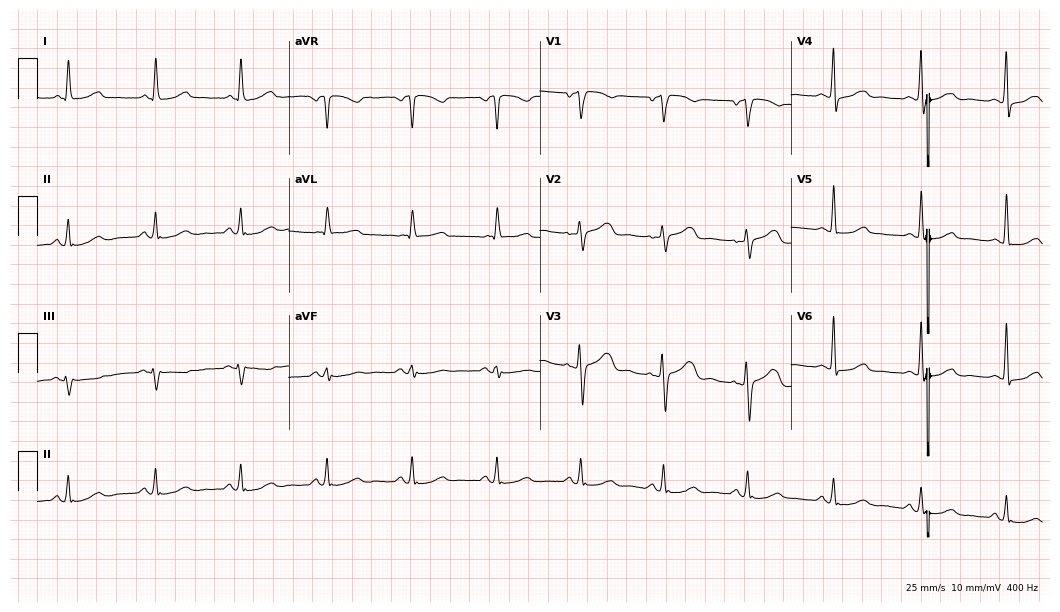
12-lead ECG from a 61-year-old female. Recorded interpretation: within normal limits.